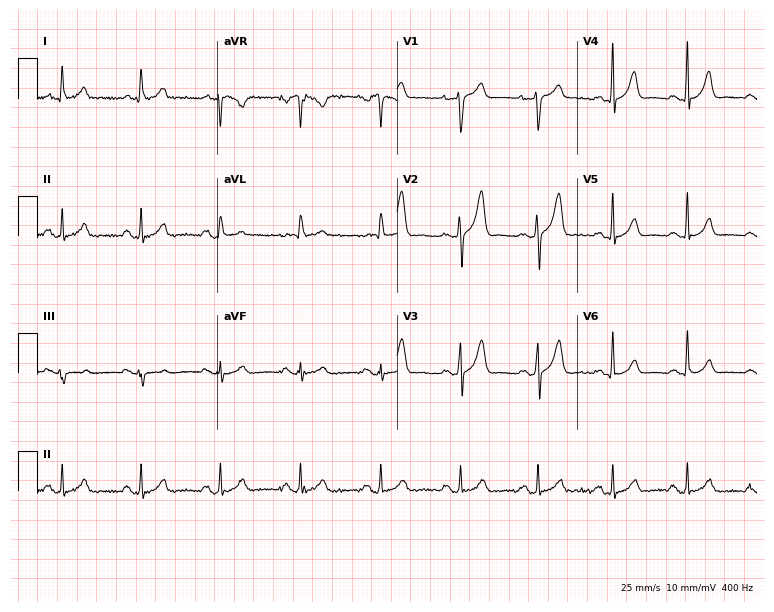
ECG (7.3-second recording at 400 Hz) — a 51-year-old male. Screened for six findings — first-degree AV block, right bundle branch block (RBBB), left bundle branch block (LBBB), sinus bradycardia, atrial fibrillation (AF), sinus tachycardia — none is recorded. Findings outside these six are not listed.